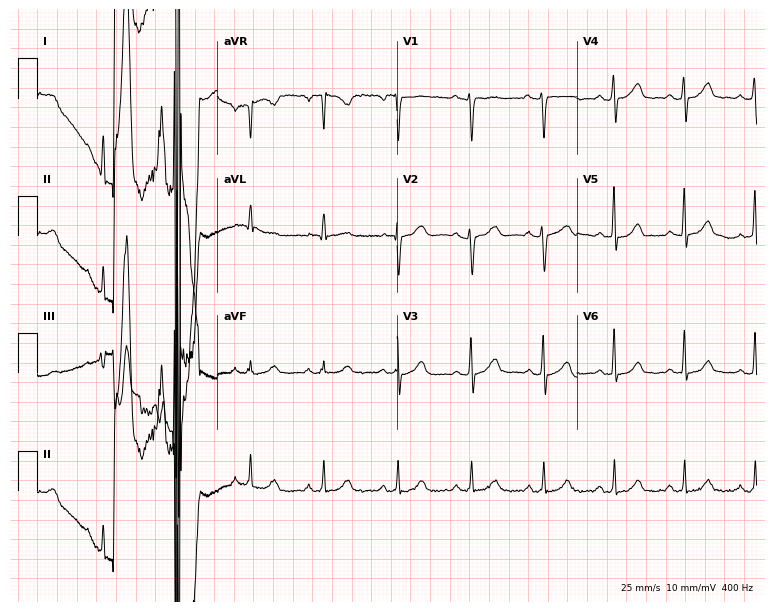
ECG (7.3-second recording at 400 Hz) — a 41-year-old female patient. Screened for six findings — first-degree AV block, right bundle branch block (RBBB), left bundle branch block (LBBB), sinus bradycardia, atrial fibrillation (AF), sinus tachycardia — none is recorded.